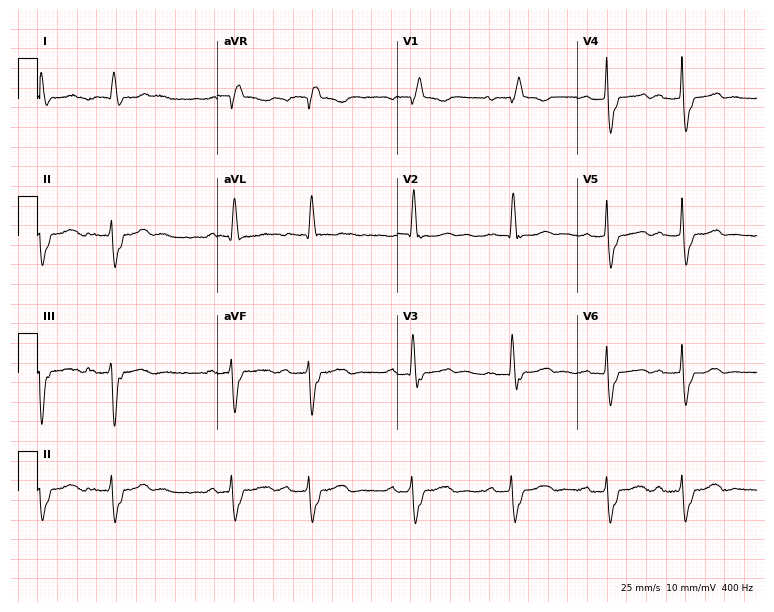
ECG — an 84-year-old female. Findings include first-degree AV block, right bundle branch block.